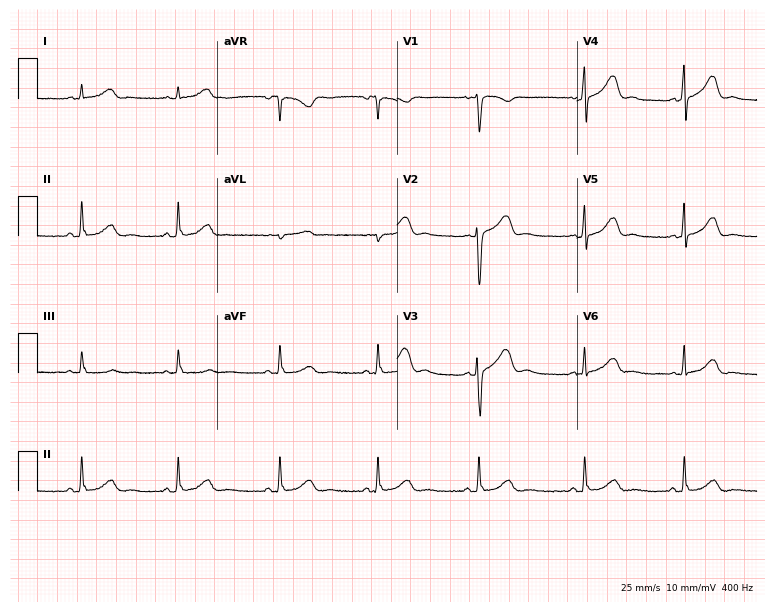
ECG — a female patient, 44 years old. Labelled as a normal ECG.